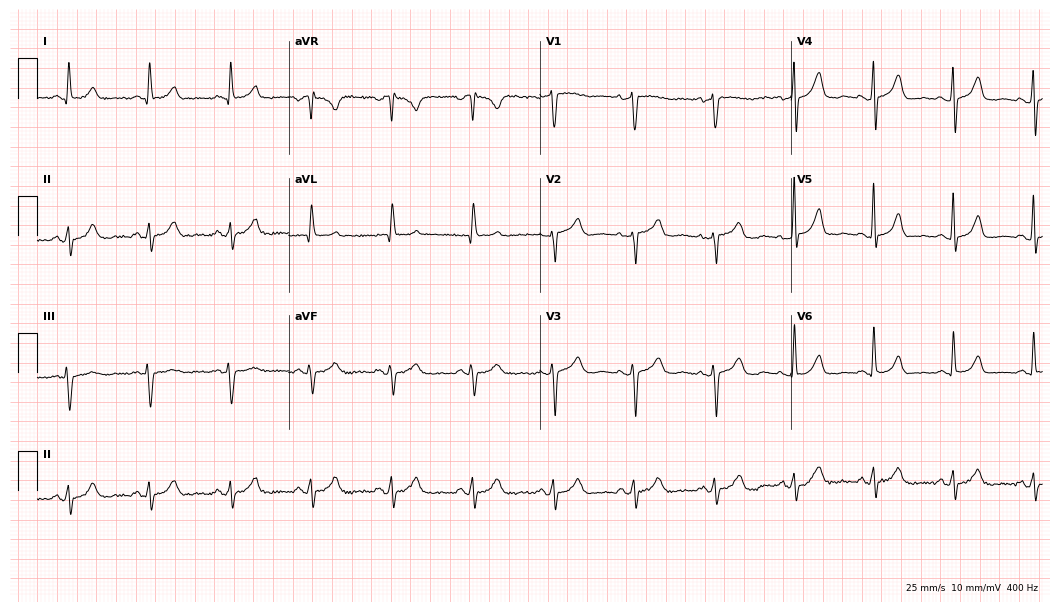
12-lead ECG from a female, 71 years old (10.2-second recording at 400 Hz). Recorded interpretation: within normal limits.